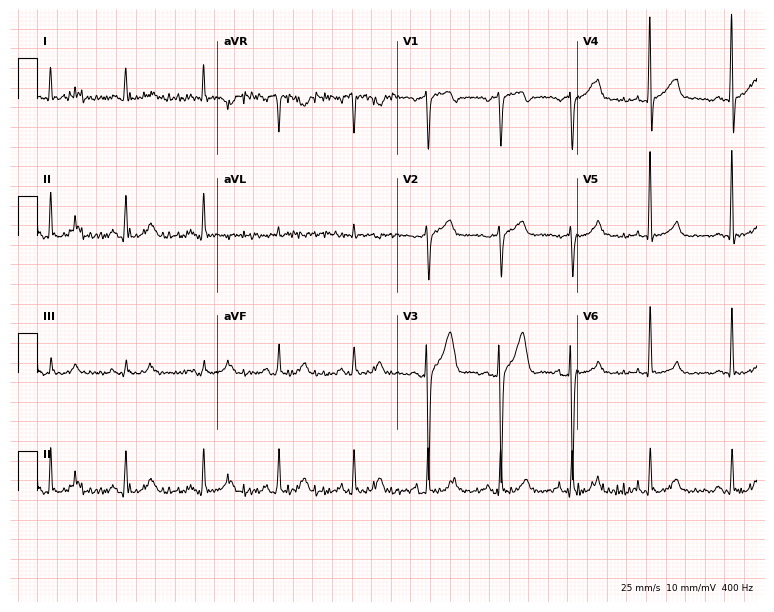
Resting 12-lead electrocardiogram (7.3-second recording at 400 Hz). Patient: a 55-year-old male. Read as a normal ECG.